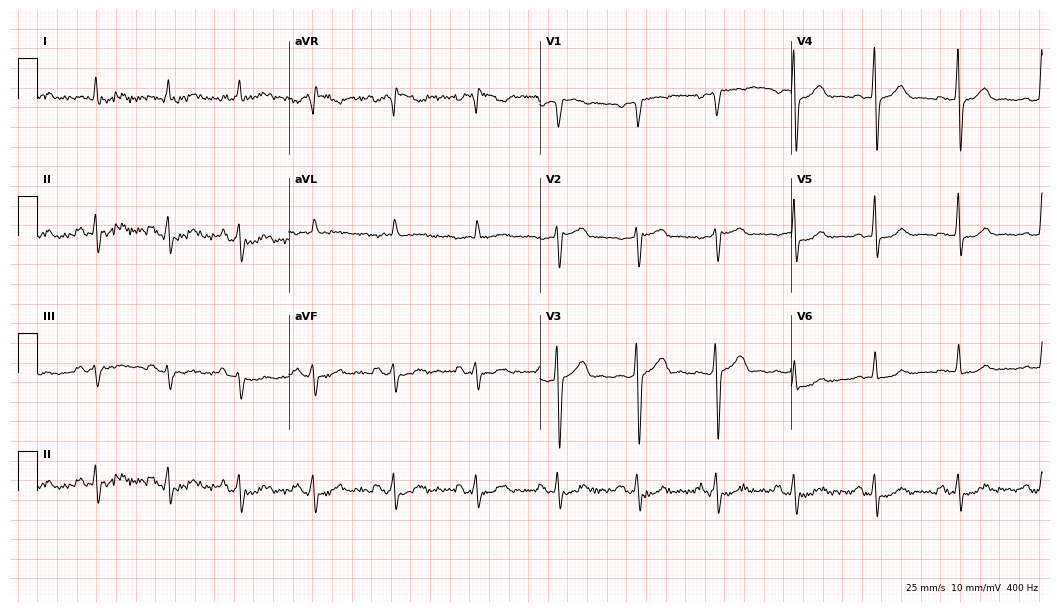
12-lead ECG from a 62-year-old male. Screened for six findings — first-degree AV block, right bundle branch block, left bundle branch block, sinus bradycardia, atrial fibrillation, sinus tachycardia — none is recorded. Only these six findings were labelled.